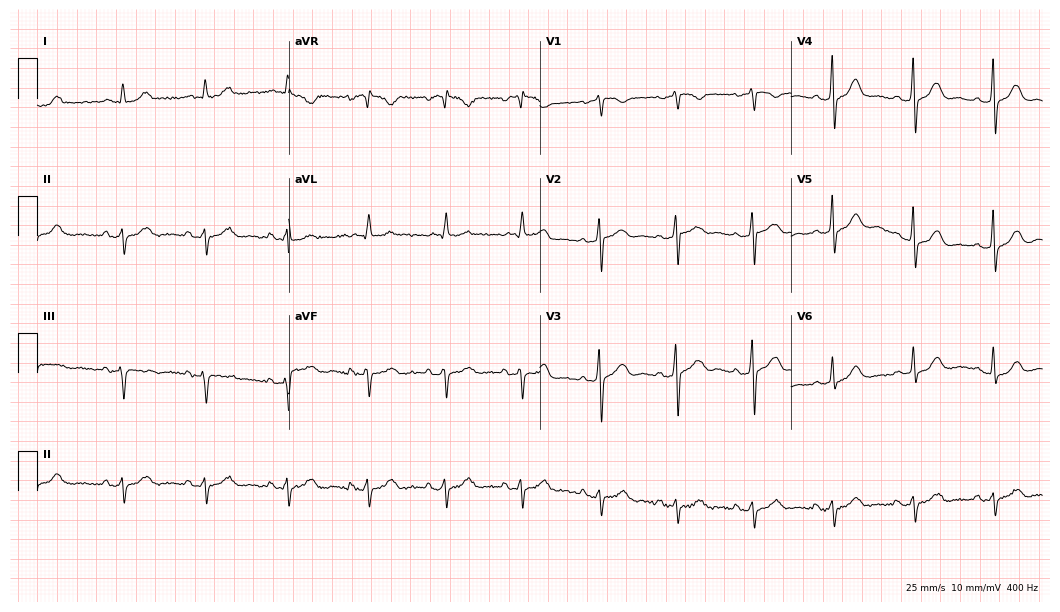
Standard 12-lead ECG recorded from a 67-year-old man (10.2-second recording at 400 Hz). Read as a normal ECG.